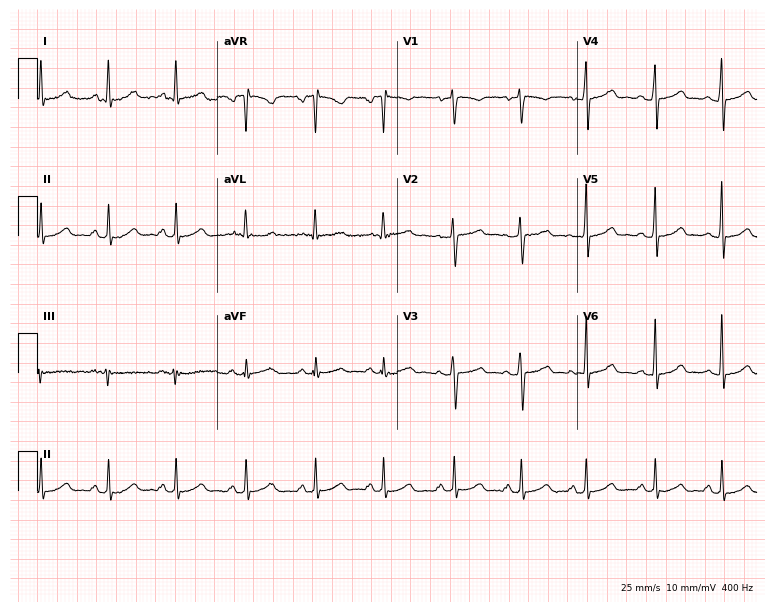
12-lead ECG from a female, 25 years old (7.3-second recording at 400 Hz). Recorded interpretation: within normal limits.